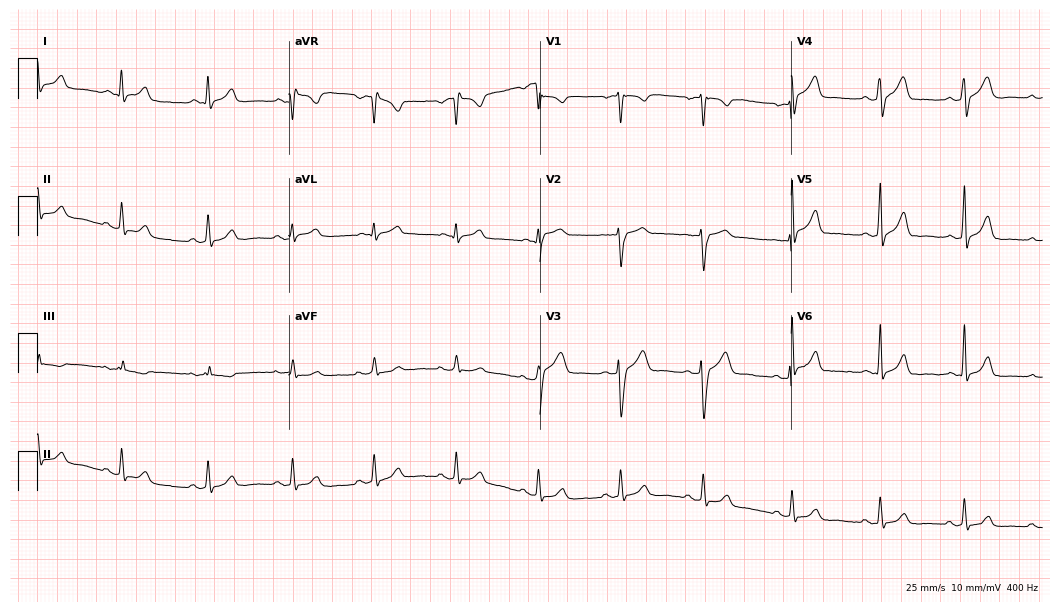
Standard 12-lead ECG recorded from a man, 39 years old. Read as a normal ECG.